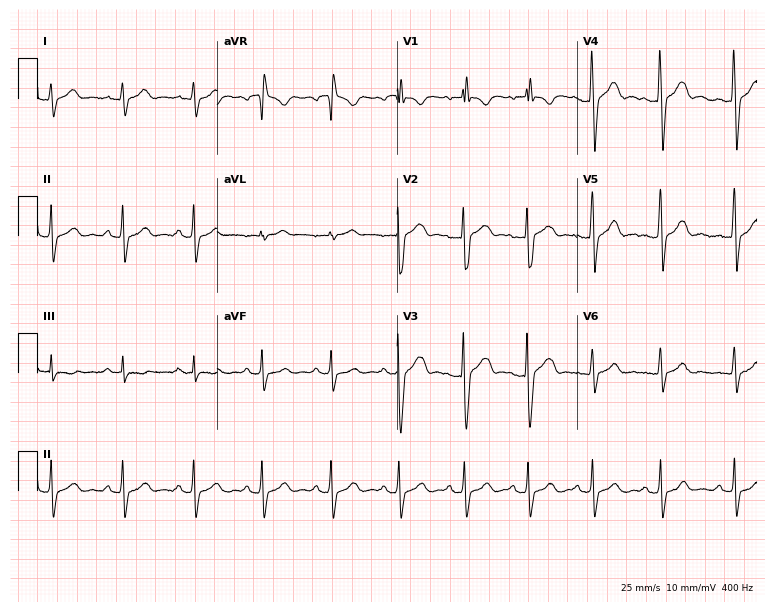
Electrocardiogram, a male, 20 years old. Overall reading on record: normal ECG.